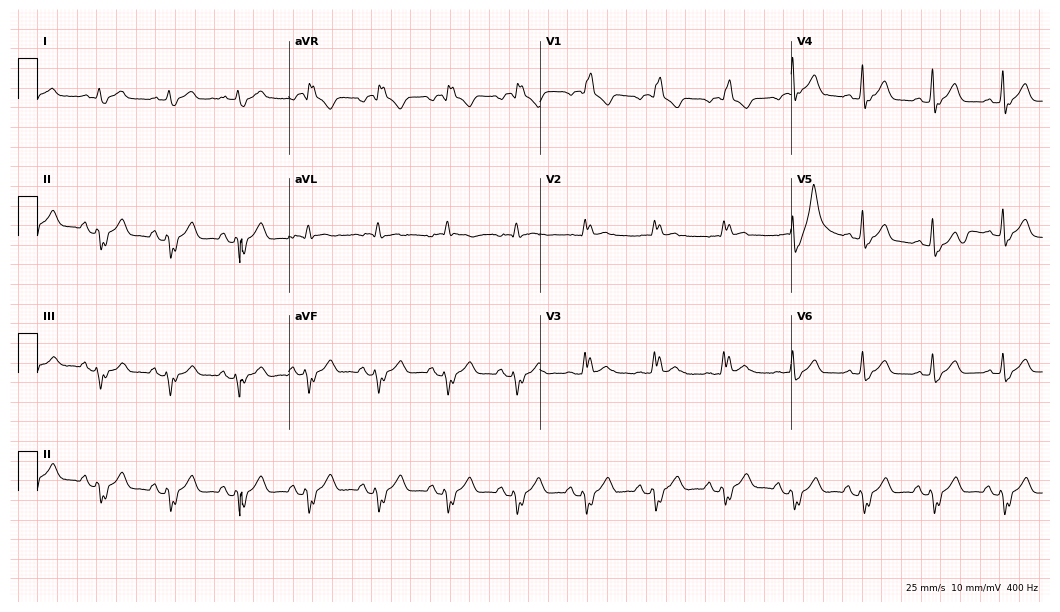
Standard 12-lead ECG recorded from an 85-year-old male patient (10.2-second recording at 400 Hz). The tracing shows right bundle branch block.